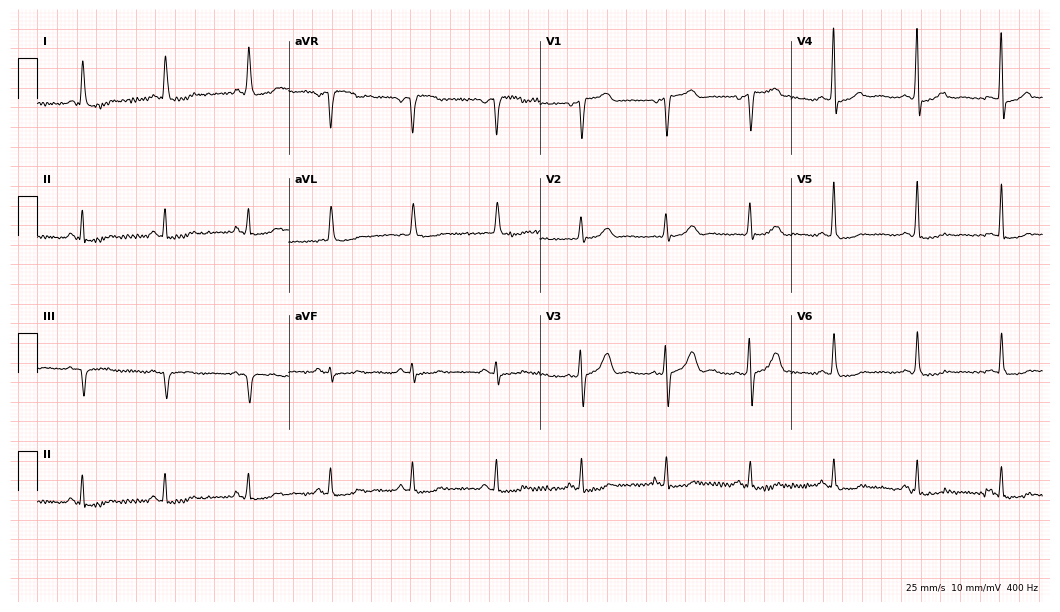
Standard 12-lead ECG recorded from a 76-year-old female (10.2-second recording at 400 Hz). None of these six findings is recorded: first-degree AV block, right bundle branch block, left bundle branch block, sinus bradycardia, atrial fibrillation, sinus tachycardia. Only these six findings were labelled.